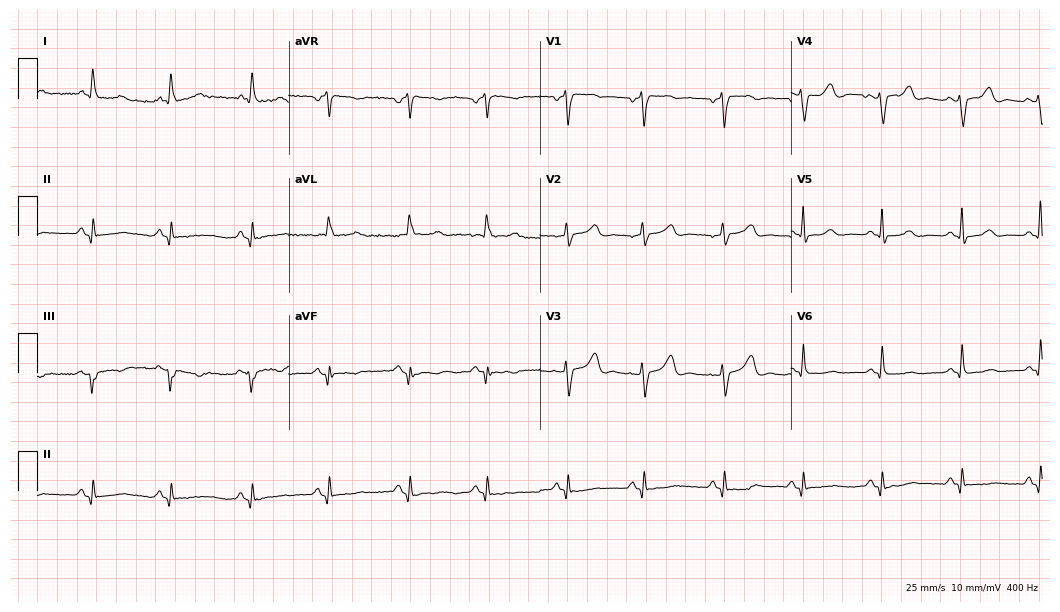
12-lead ECG from a female, 75 years old. No first-degree AV block, right bundle branch block, left bundle branch block, sinus bradycardia, atrial fibrillation or sinus tachycardia recorded for this tracing.